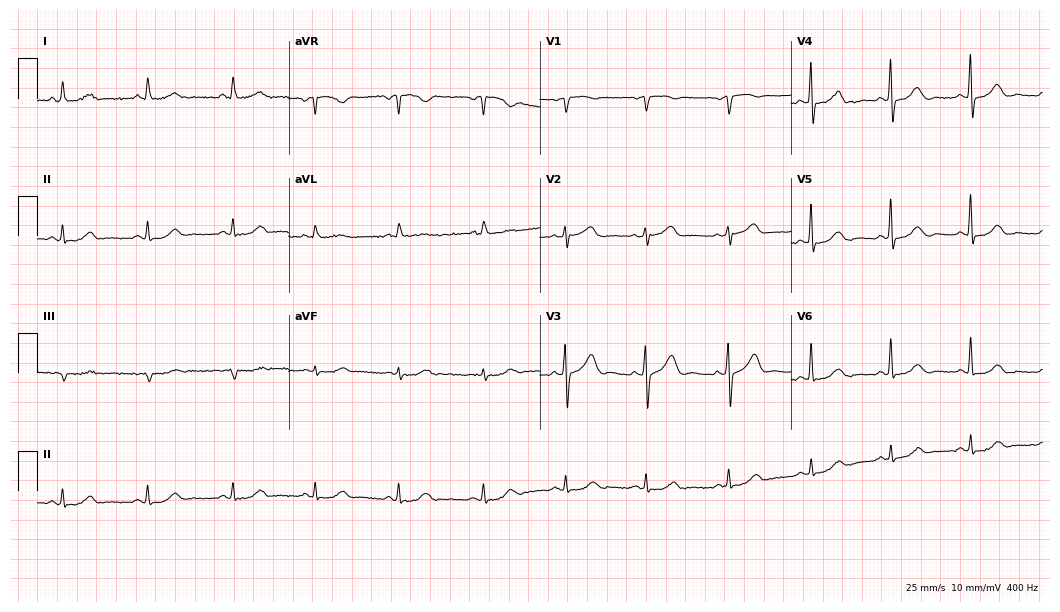
Standard 12-lead ECG recorded from a woman, 70 years old. None of these six findings is recorded: first-degree AV block, right bundle branch block, left bundle branch block, sinus bradycardia, atrial fibrillation, sinus tachycardia. Other findings, if any, are not listed.